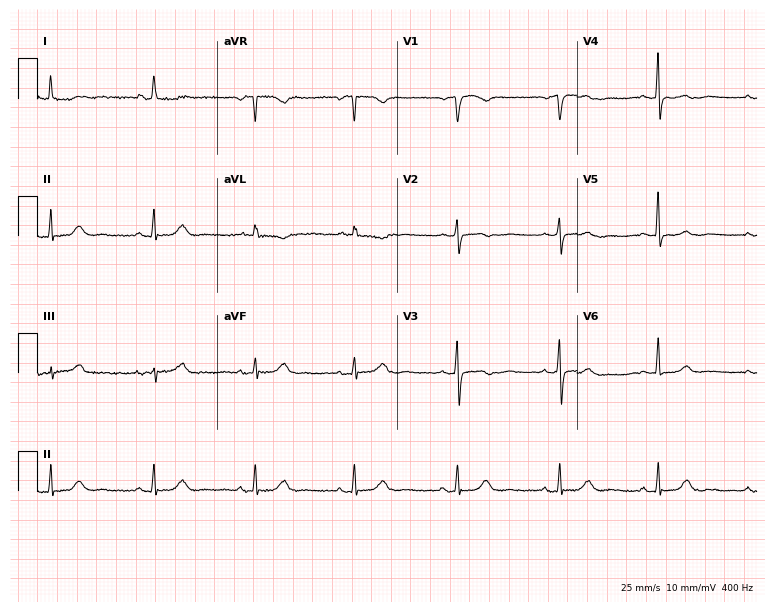
ECG (7.3-second recording at 400 Hz) — a female, 72 years old. Screened for six findings — first-degree AV block, right bundle branch block (RBBB), left bundle branch block (LBBB), sinus bradycardia, atrial fibrillation (AF), sinus tachycardia — none is recorded.